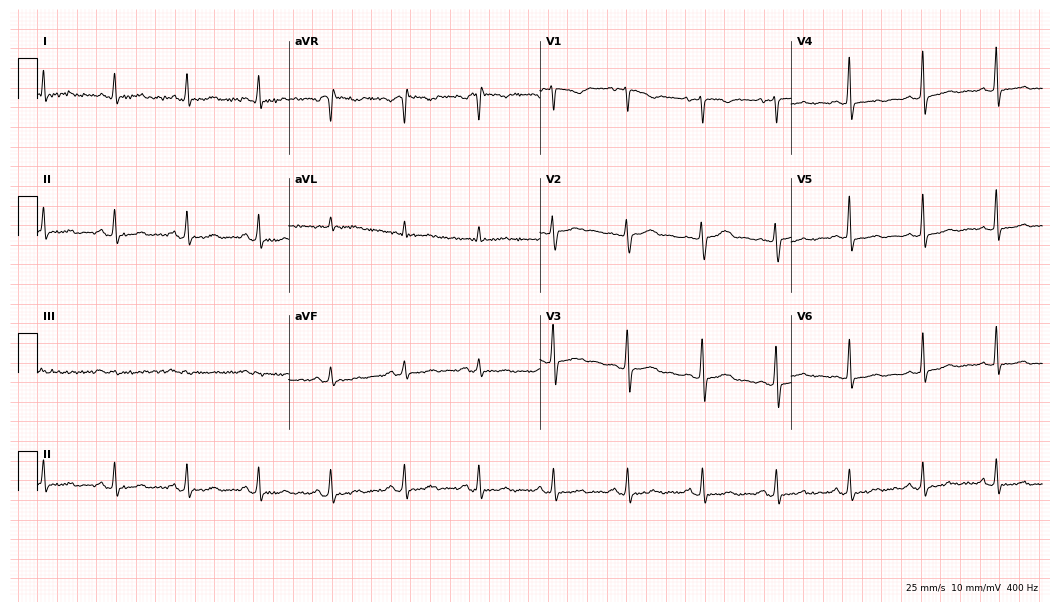
ECG — a female patient, 46 years old. Screened for six findings — first-degree AV block, right bundle branch block (RBBB), left bundle branch block (LBBB), sinus bradycardia, atrial fibrillation (AF), sinus tachycardia — none is recorded.